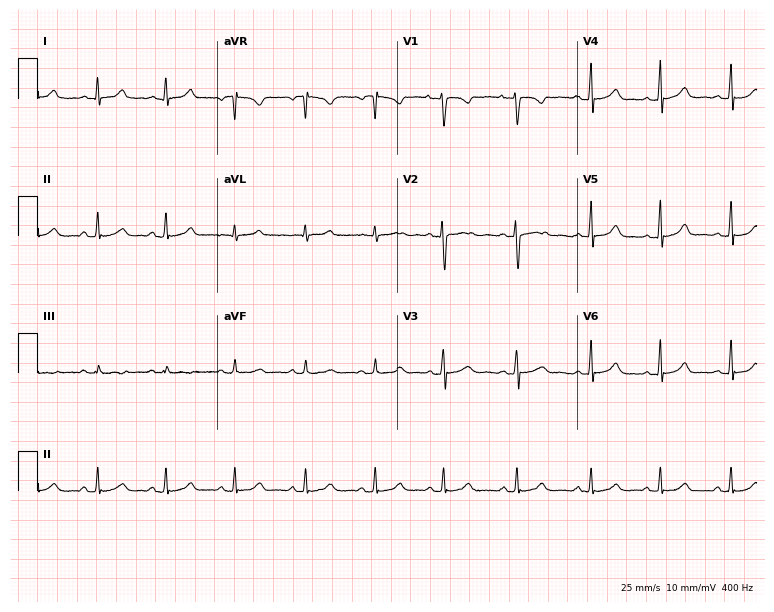
Electrocardiogram (7.3-second recording at 400 Hz), a female patient, 28 years old. Overall reading on record: normal ECG.